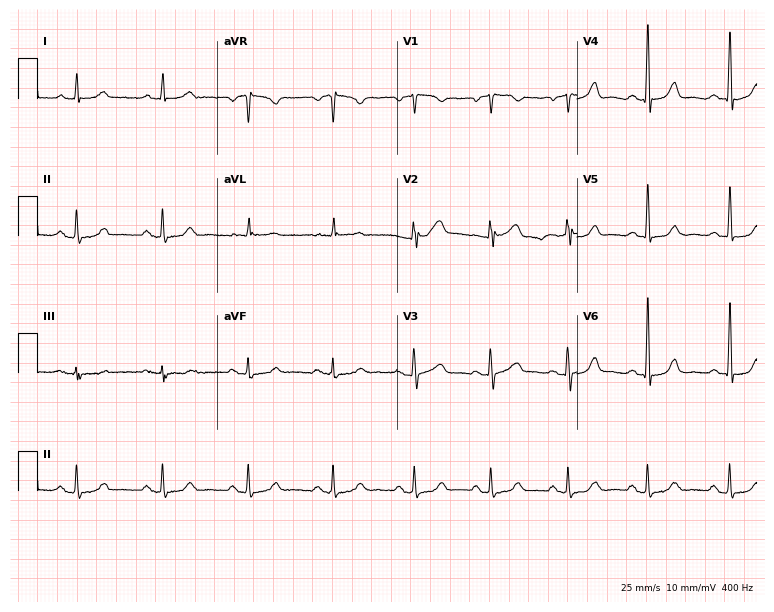
12-lead ECG (7.3-second recording at 400 Hz) from a woman, 62 years old. Labelled as a normal ECG.